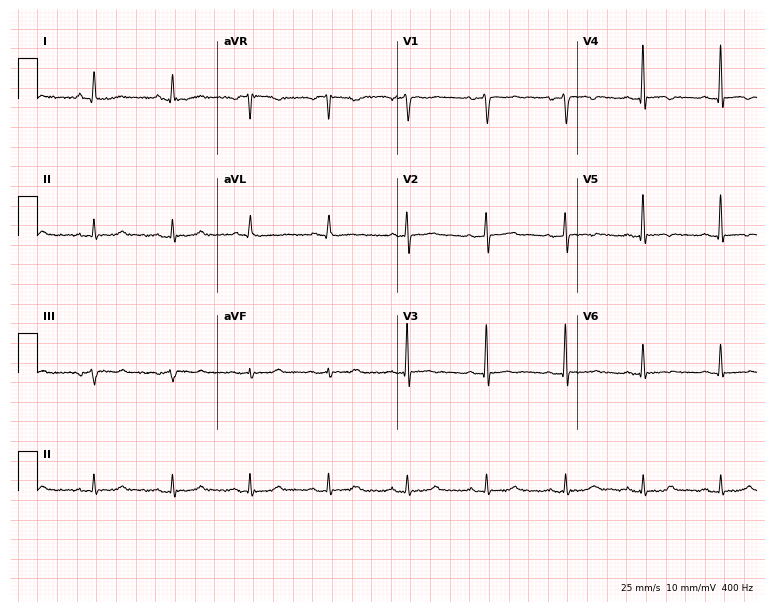
Resting 12-lead electrocardiogram. Patient: a 69-year-old female. None of these six findings is recorded: first-degree AV block, right bundle branch block, left bundle branch block, sinus bradycardia, atrial fibrillation, sinus tachycardia. Only these six findings were labelled.